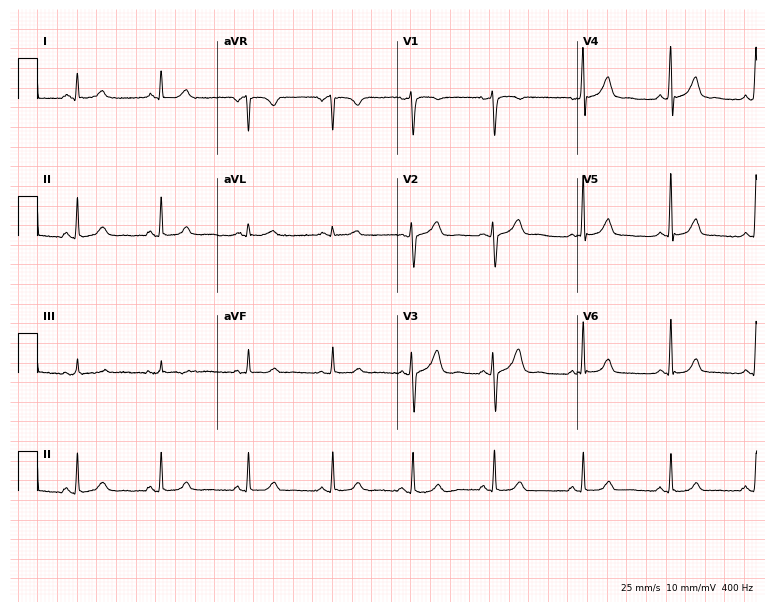
Standard 12-lead ECG recorded from a 43-year-old female. Read as a normal ECG.